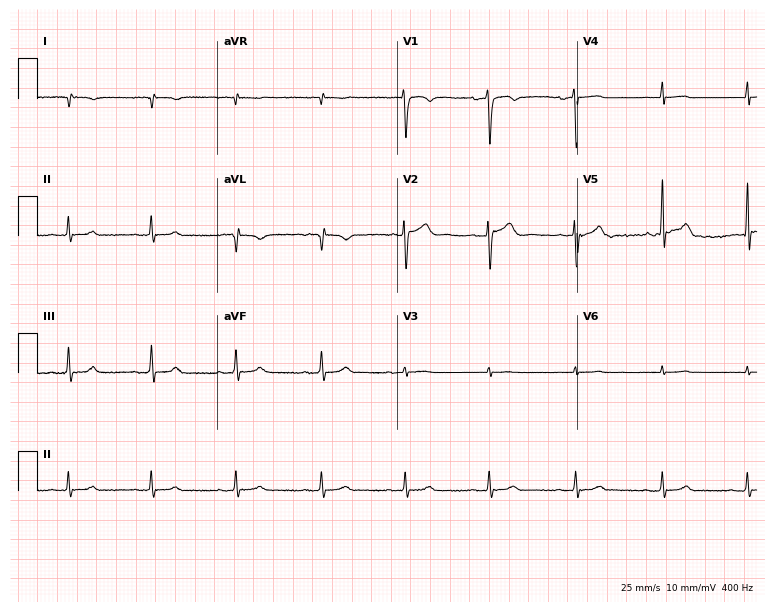
12-lead ECG from a male, 35 years old. Screened for six findings — first-degree AV block, right bundle branch block, left bundle branch block, sinus bradycardia, atrial fibrillation, sinus tachycardia — none is recorded. Findings outside these six are not listed.